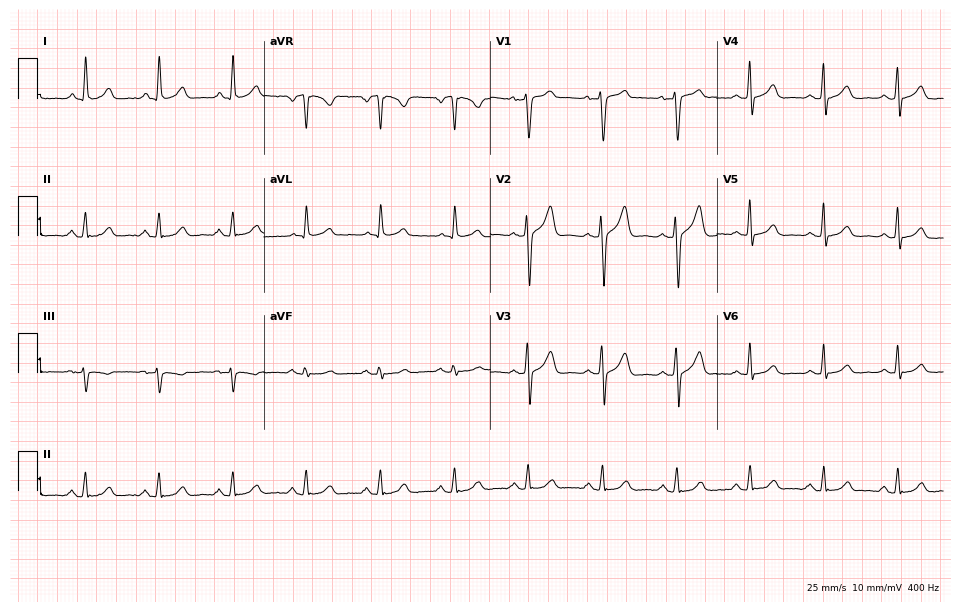
12-lead ECG from a male, 50 years old. Screened for six findings — first-degree AV block, right bundle branch block, left bundle branch block, sinus bradycardia, atrial fibrillation, sinus tachycardia — none is recorded. Findings outside these six are not listed.